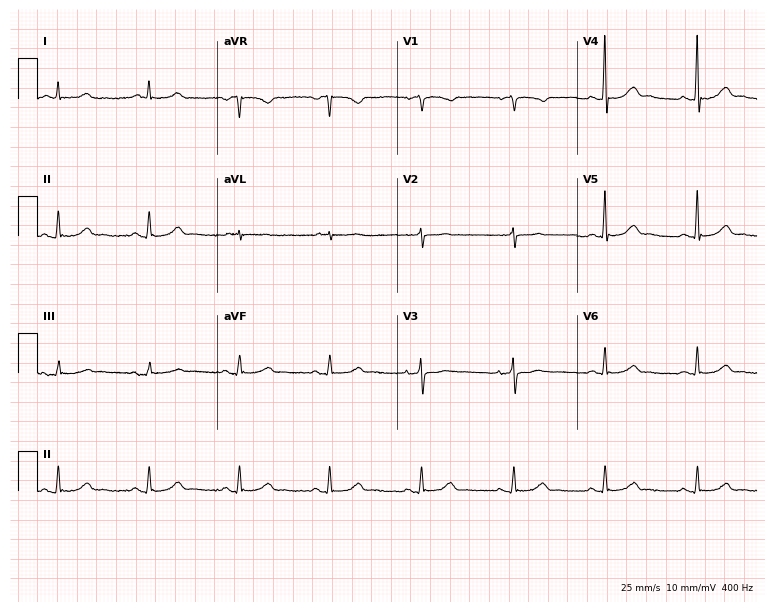
ECG (7.3-second recording at 400 Hz) — a 70-year-old male. Labelled as a normal ECG.